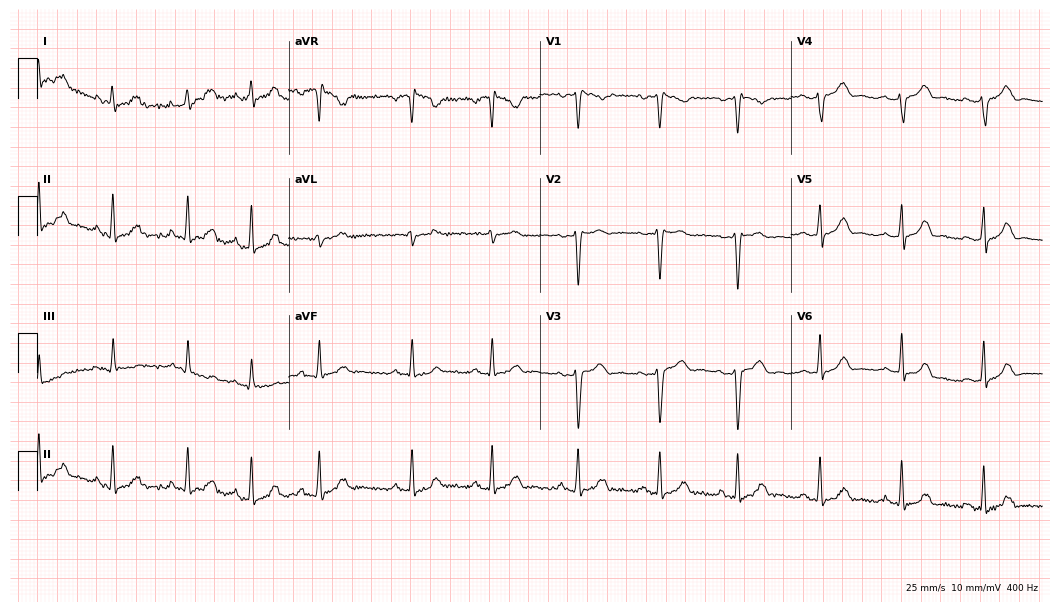
Standard 12-lead ECG recorded from a 25-year-old woman (10.2-second recording at 400 Hz). None of these six findings is recorded: first-degree AV block, right bundle branch block (RBBB), left bundle branch block (LBBB), sinus bradycardia, atrial fibrillation (AF), sinus tachycardia.